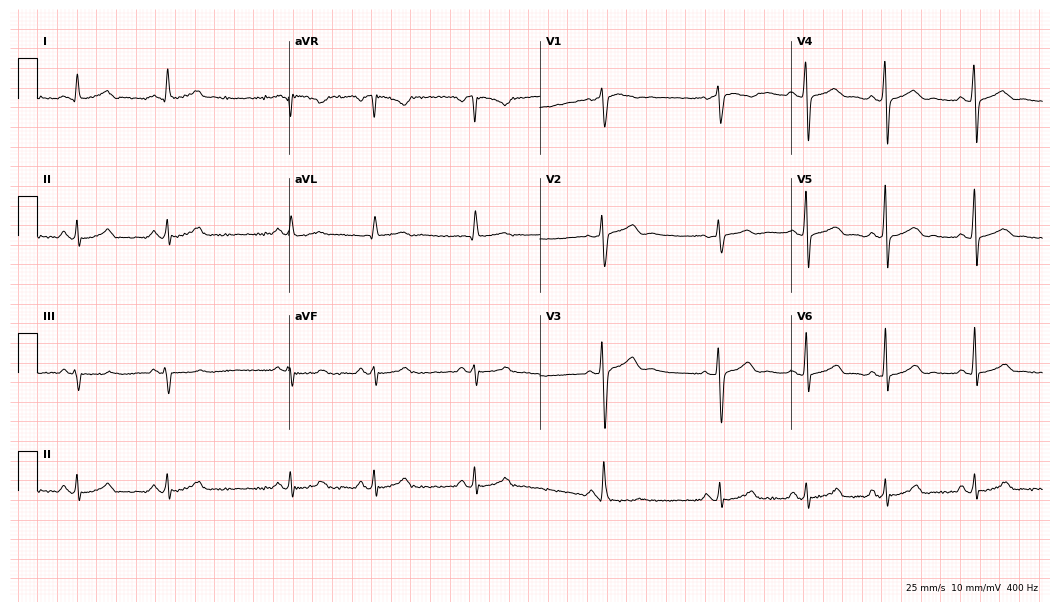
12-lead ECG from a 38-year-old female. Screened for six findings — first-degree AV block, right bundle branch block, left bundle branch block, sinus bradycardia, atrial fibrillation, sinus tachycardia — none is recorded. Other findings, if any, are not listed.